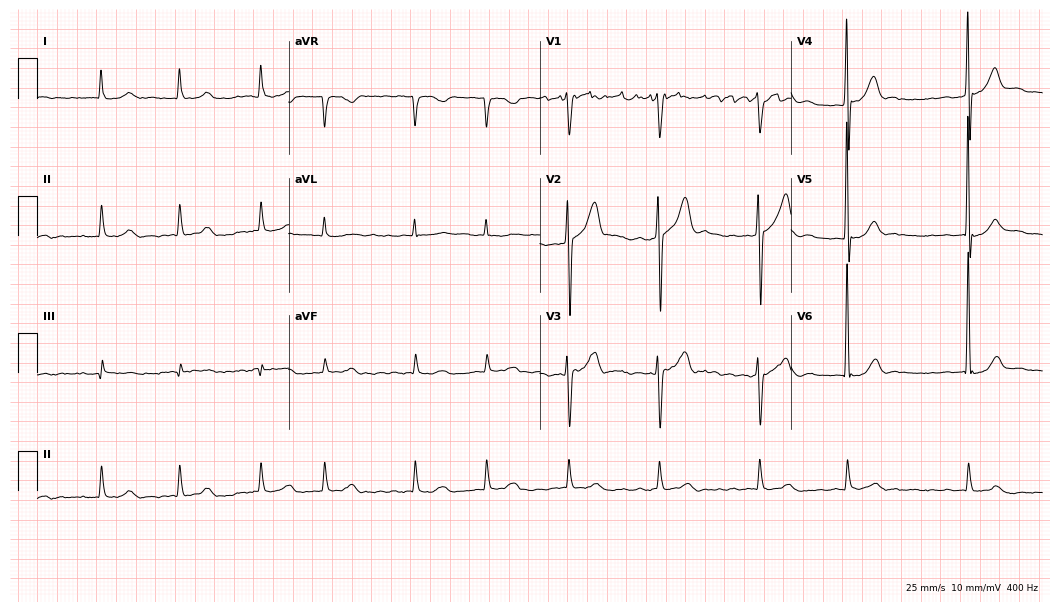
Standard 12-lead ECG recorded from an 85-year-old male. The tracing shows atrial fibrillation (AF).